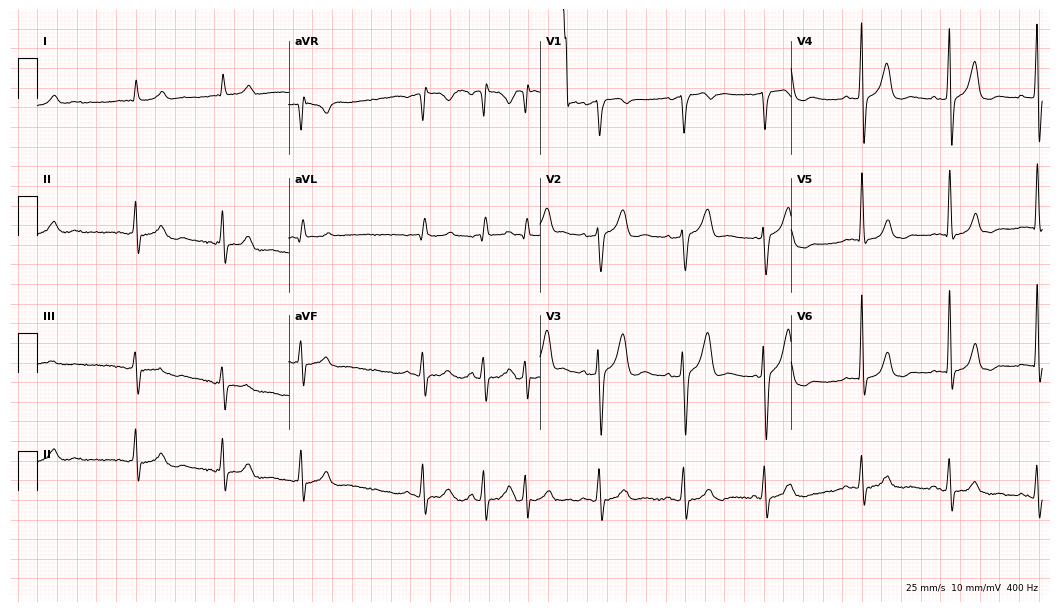
12-lead ECG from an 85-year-old man. Recorded interpretation: within normal limits.